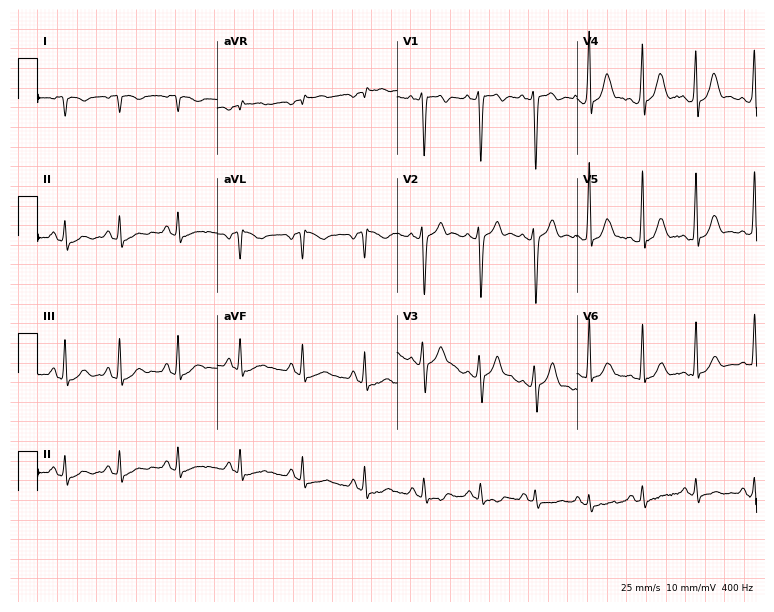
12-lead ECG from a man, 23 years old (7.3-second recording at 400 Hz). No first-degree AV block, right bundle branch block, left bundle branch block, sinus bradycardia, atrial fibrillation or sinus tachycardia recorded for this tracing.